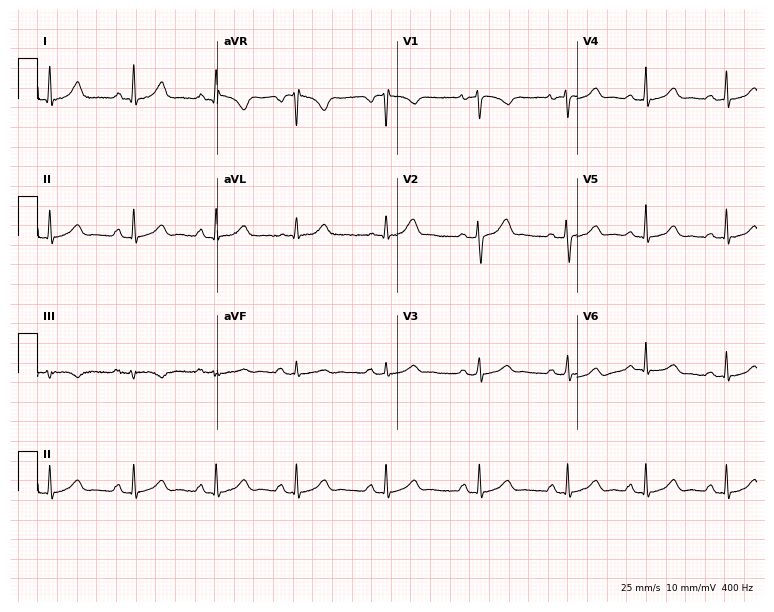
12-lead ECG (7.3-second recording at 400 Hz) from a female patient, 24 years old. Screened for six findings — first-degree AV block, right bundle branch block, left bundle branch block, sinus bradycardia, atrial fibrillation, sinus tachycardia — none is recorded. Only these six findings were labelled.